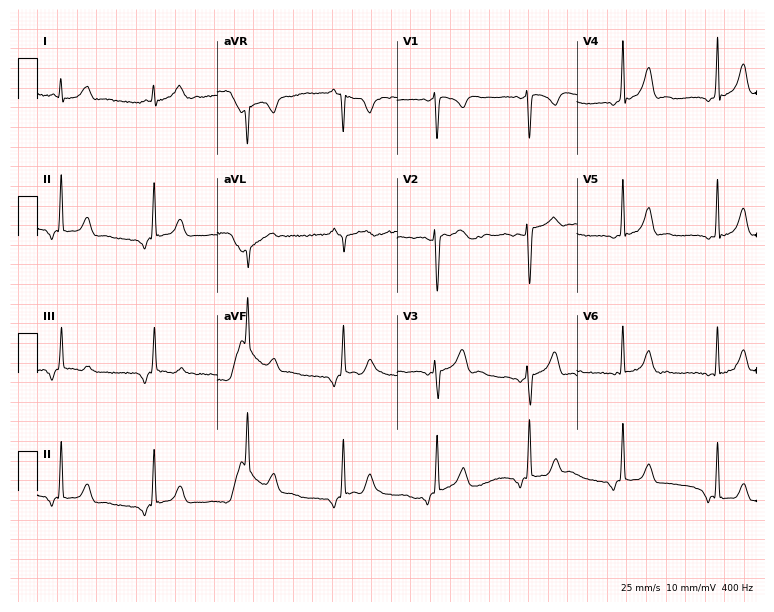
ECG — a 21-year-old woman. Screened for six findings — first-degree AV block, right bundle branch block, left bundle branch block, sinus bradycardia, atrial fibrillation, sinus tachycardia — none is recorded. Findings outside these six are not listed.